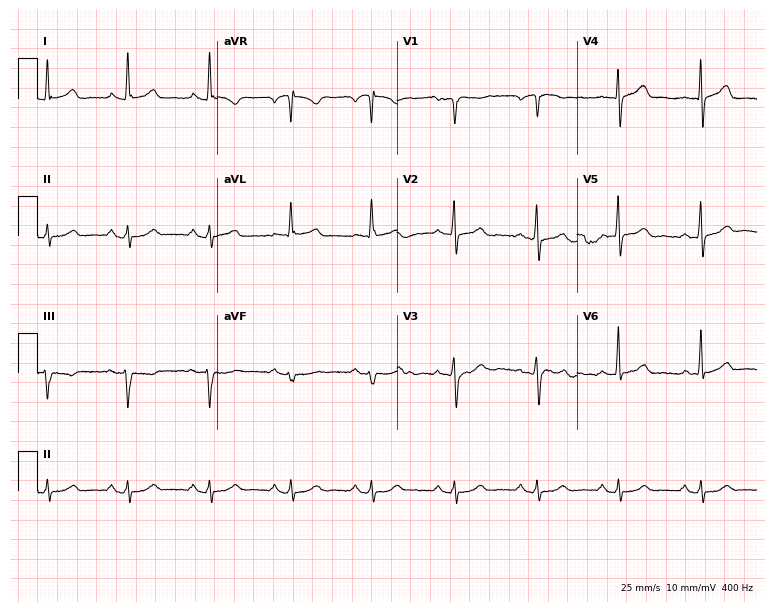
Resting 12-lead electrocardiogram (7.3-second recording at 400 Hz). Patient: a 57-year-old man. Read as a normal ECG.